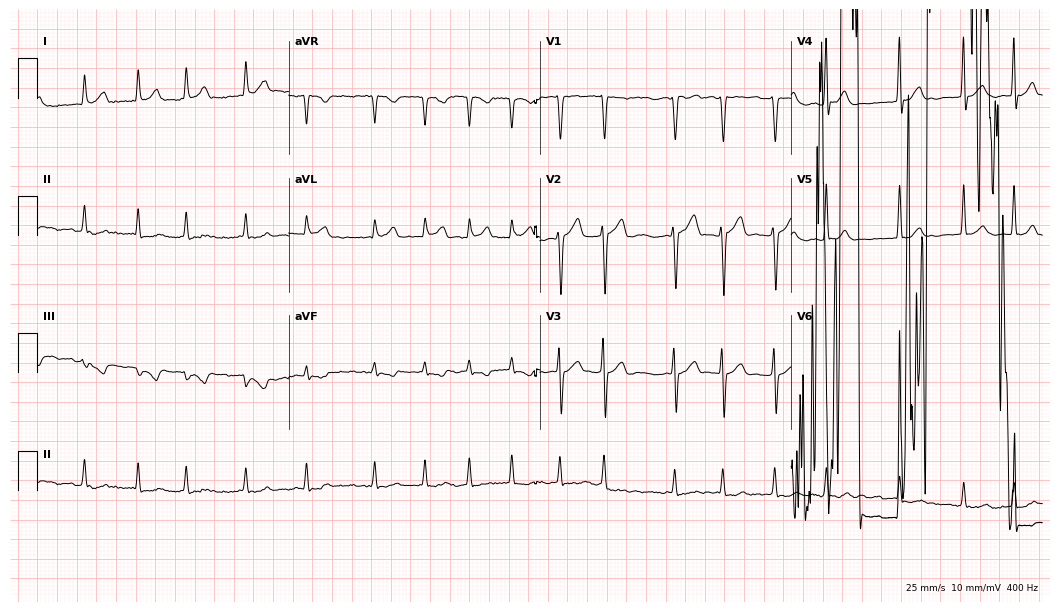
Resting 12-lead electrocardiogram. Patient: a 73-year-old male. The tracing shows atrial fibrillation.